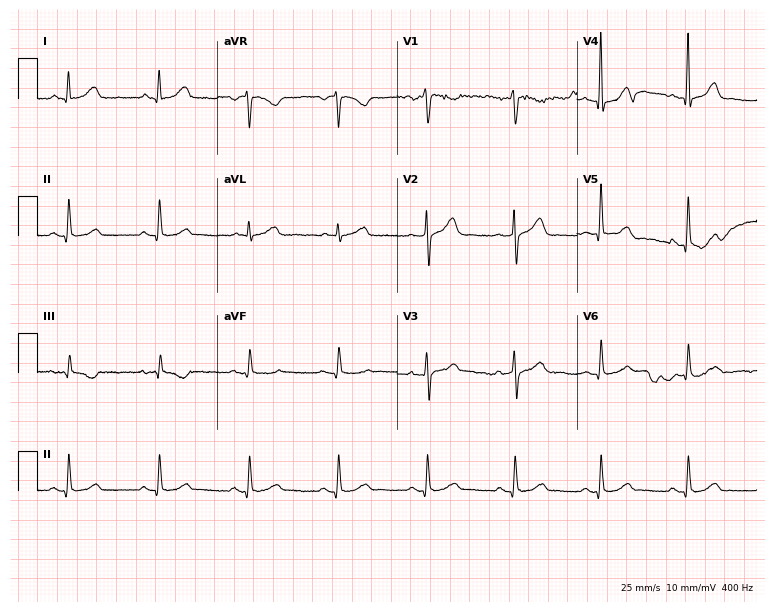
Electrocardiogram, a male patient, 61 years old. Of the six screened findings (first-degree AV block, right bundle branch block, left bundle branch block, sinus bradycardia, atrial fibrillation, sinus tachycardia), none is recorded. Other findings, if any, are not listed.